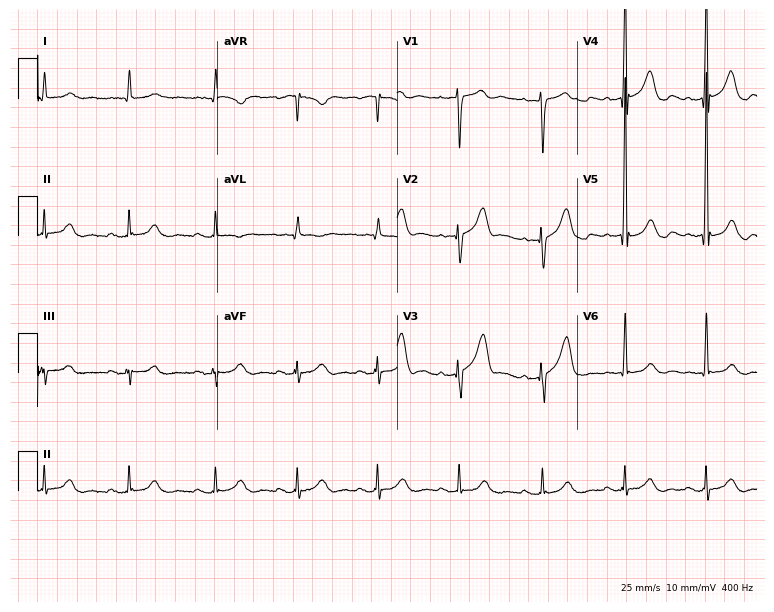
12-lead ECG from a 74-year-old male patient (7.3-second recording at 400 Hz). Recorded interpretation: within normal limits.